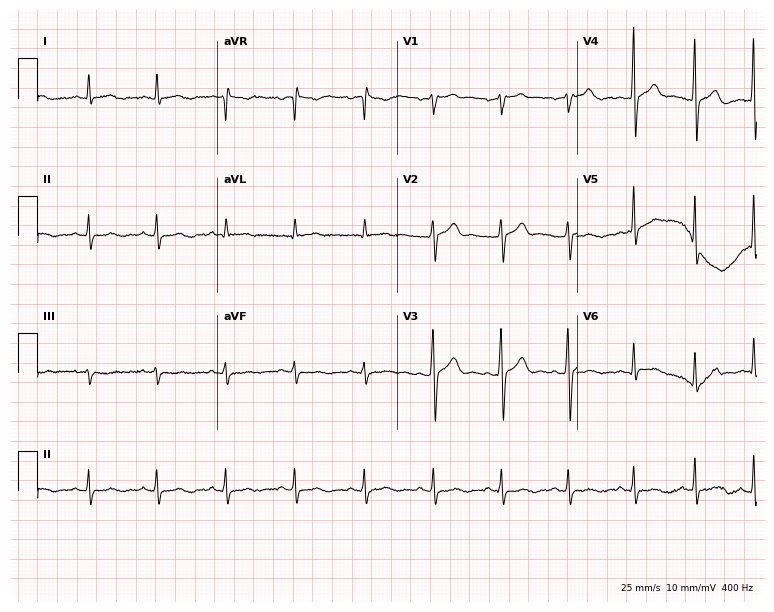
12-lead ECG (7.3-second recording at 400 Hz) from a male, 43 years old. Screened for six findings — first-degree AV block, right bundle branch block (RBBB), left bundle branch block (LBBB), sinus bradycardia, atrial fibrillation (AF), sinus tachycardia — none is recorded.